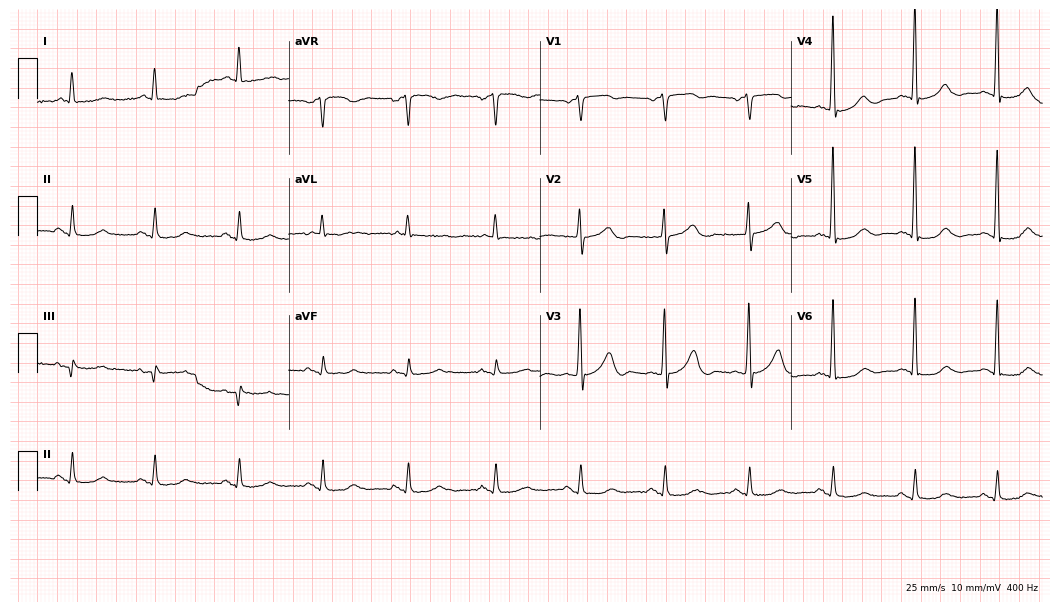
12-lead ECG from a man, 81 years old. Labelled as a normal ECG.